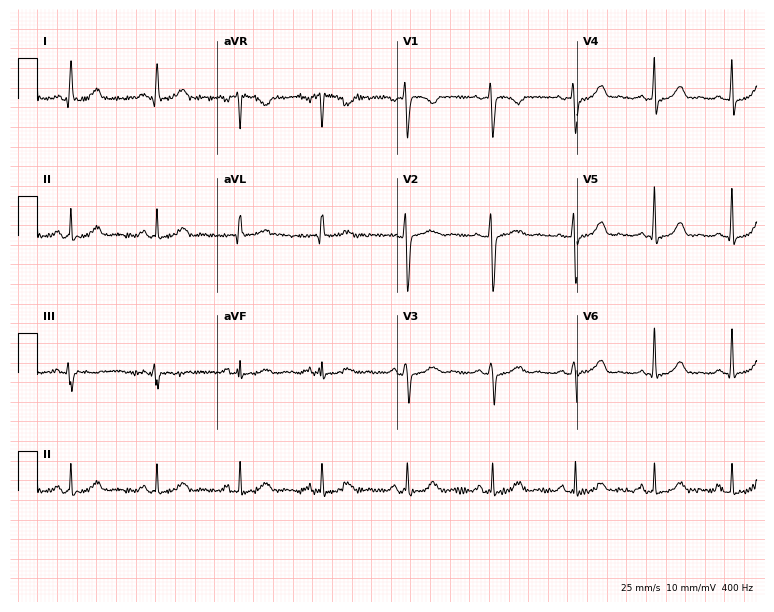
Standard 12-lead ECG recorded from a 35-year-old female patient. Read as a normal ECG.